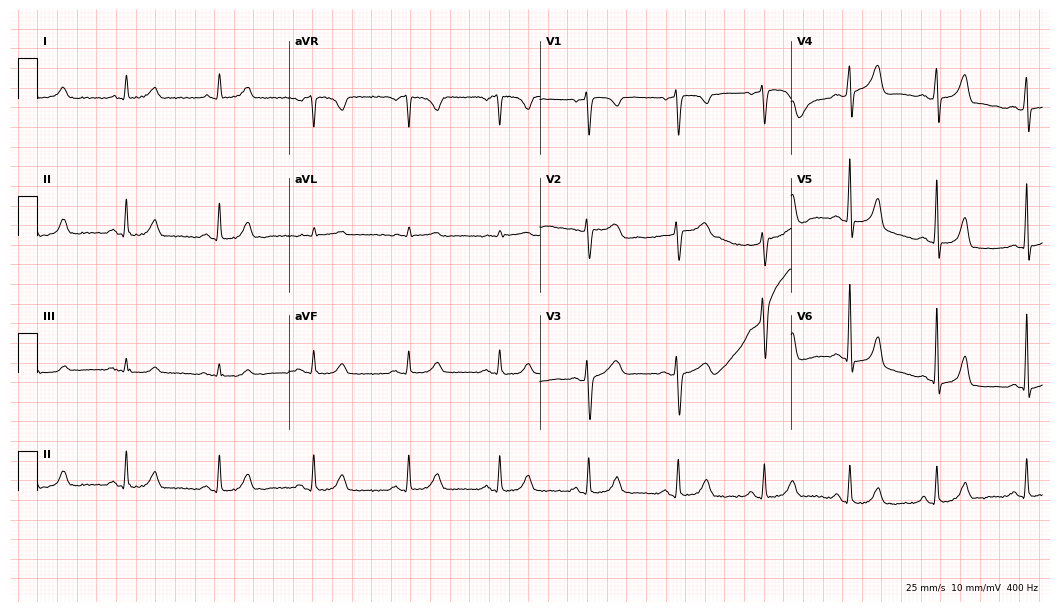
12-lead ECG from a female, 66 years old (10.2-second recording at 400 Hz). Recorded interpretation: within normal limits.